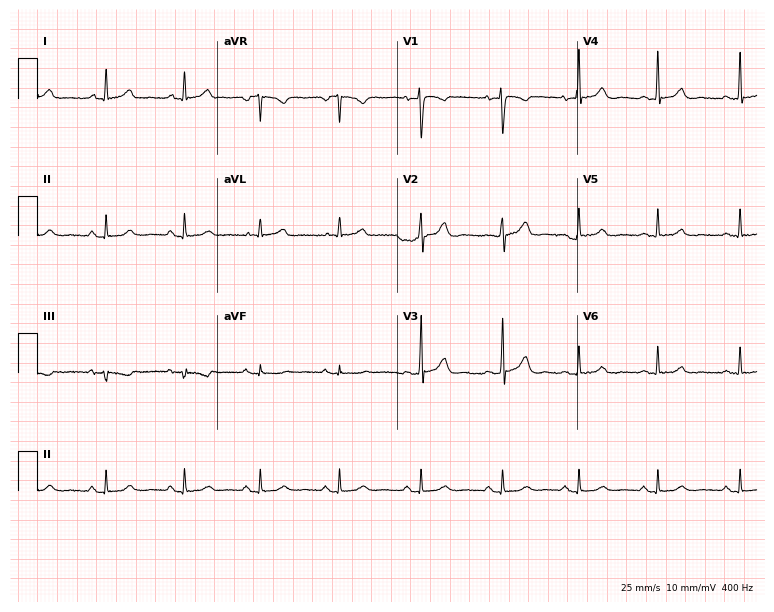
12-lead ECG (7.3-second recording at 400 Hz) from a 40-year-old female. Labelled as a normal ECG.